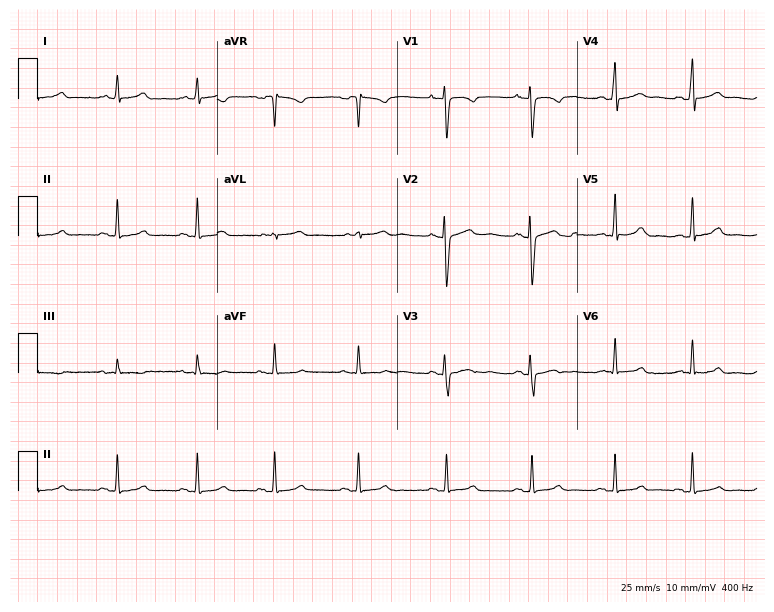
Standard 12-lead ECG recorded from a woman, 28 years old (7.3-second recording at 400 Hz). None of these six findings is recorded: first-degree AV block, right bundle branch block, left bundle branch block, sinus bradycardia, atrial fibrillation, sinus tachycardia. Only these six findings were labelled.